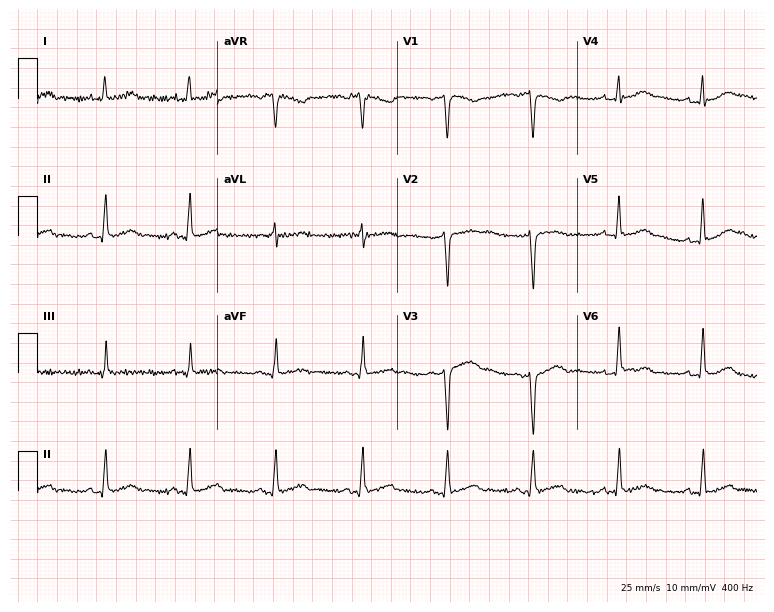
Electrocardiogram (7.3-second recording at 400 Hz), a woman, 40 years old. Overall reading on record: normal ECG.